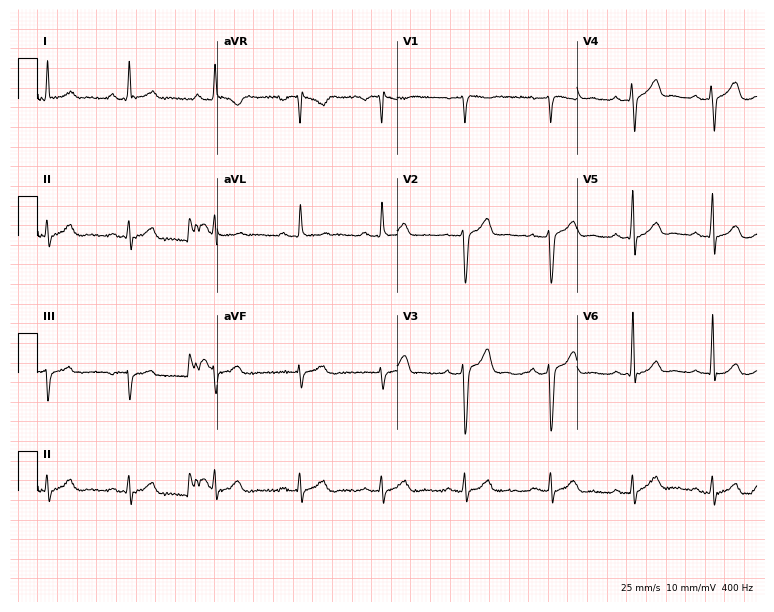
Electrocardiogram (7.3-second recording at 400 Hz), a male, 40 years old. Overall reading on record: normal ECG.